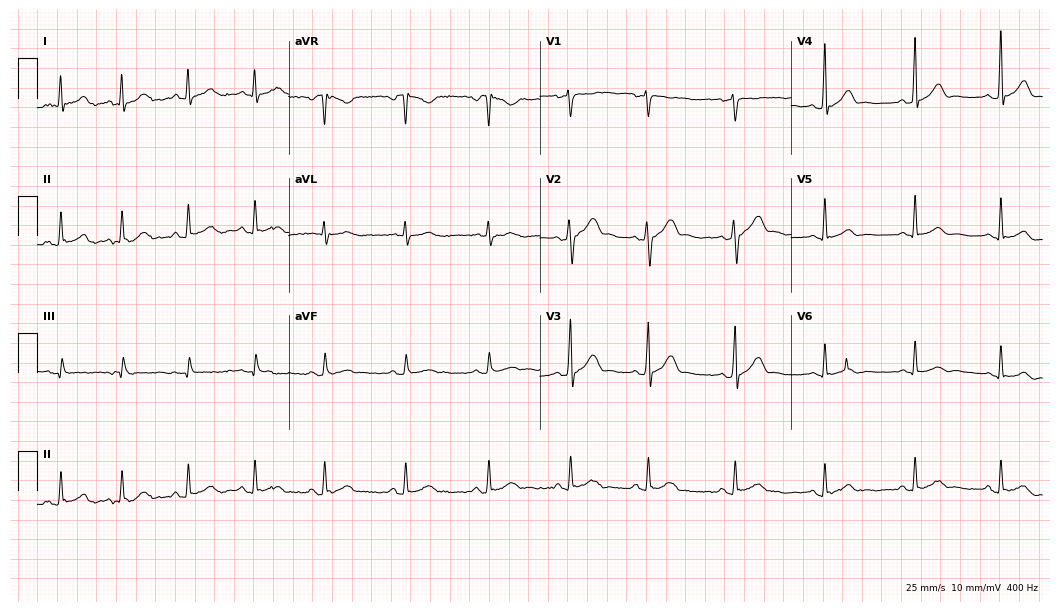
12-lead ECG from a man, 20 years old (10.2-second recording at 400 Hz). Recorded interpretation: within normal limits.